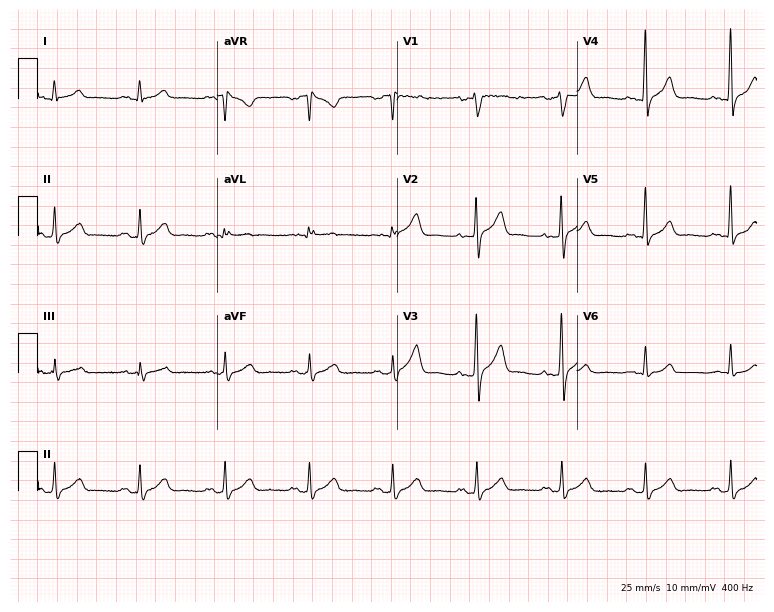
Resting 12-lead electrocardiogram. Patient: a 41-year-old male. Read as a normal ECG.